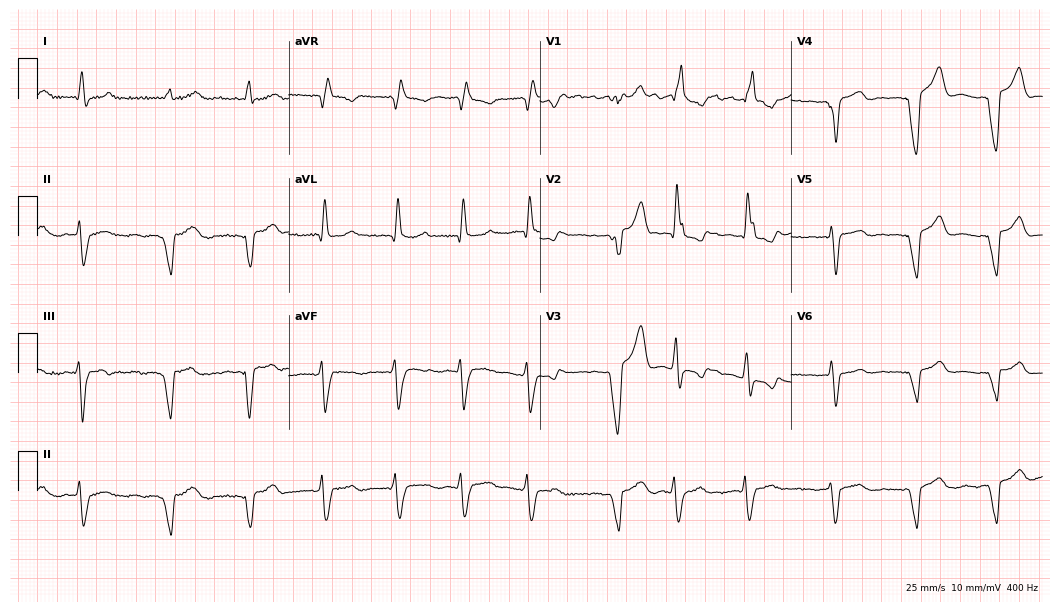
12-lead ECG from a 66-year-old female patient. Findings include right bundle branch block, atrial fibrillation.